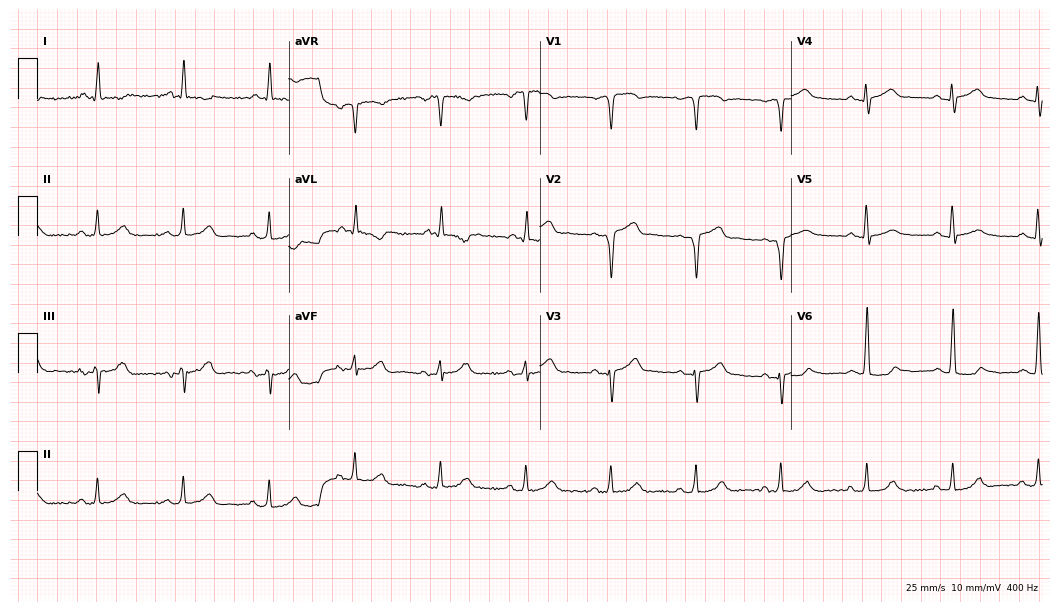
12-lead ECG from a male patient, 67 years old. Screened for six findings — first-degree AV block, right bundle branch block (RBBB), left bundle branch block (LBBB), sinus bradycardia, atrial fibrillation (AF), sinus tachycardia — none is recorded. Other findings, if any, are not listed.